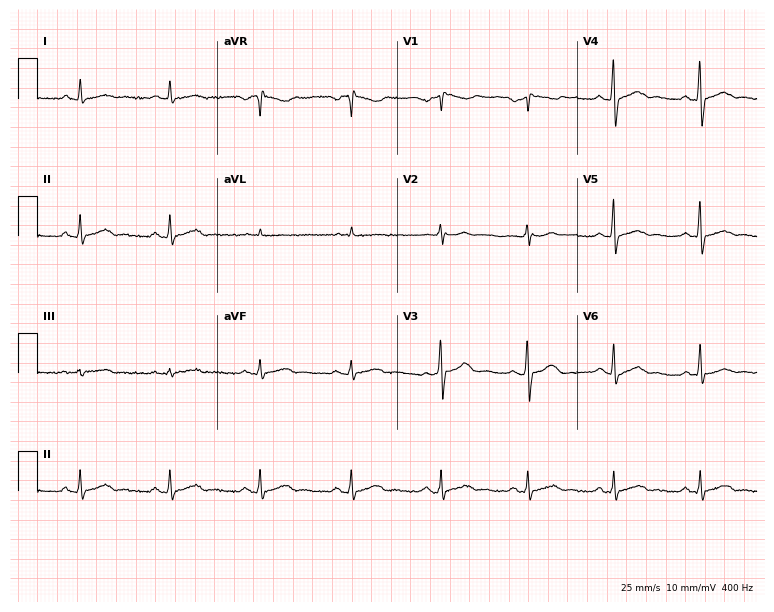
Resting 12-lead electrocardiogram. Patient: a man, 50 years old. None of these six findings is recorded: first-degree AV block, right bundle branch block, left bundle branch block, sinus bradycardia, atrial fibrillation, sinus tachycardia. Only these six findings were labelled.